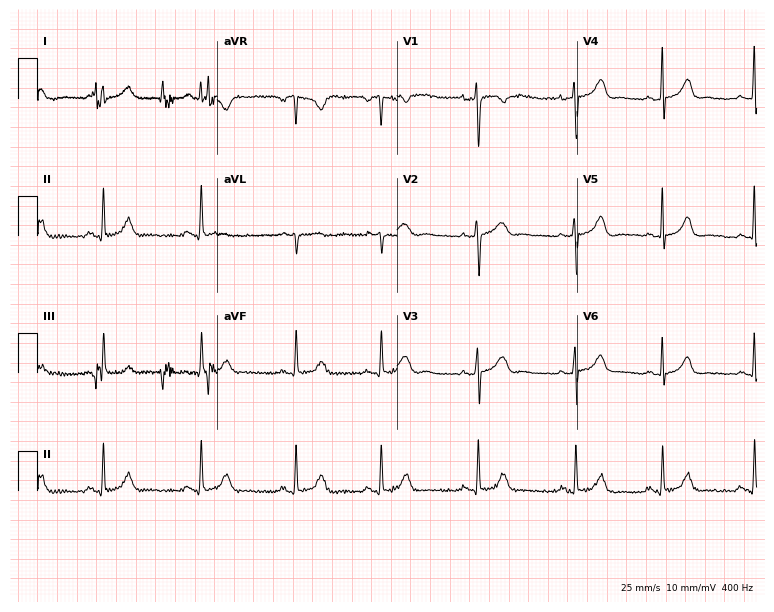
12-lead ECG from a female patient, 21 years old. Screened for six findings — first-degree AV block, right bundle branch block, left bundle branch block, sinus bradycardia, atrial fibrillation, sinus tachycardia — none is recorded. Other findings, if any, are not listed.